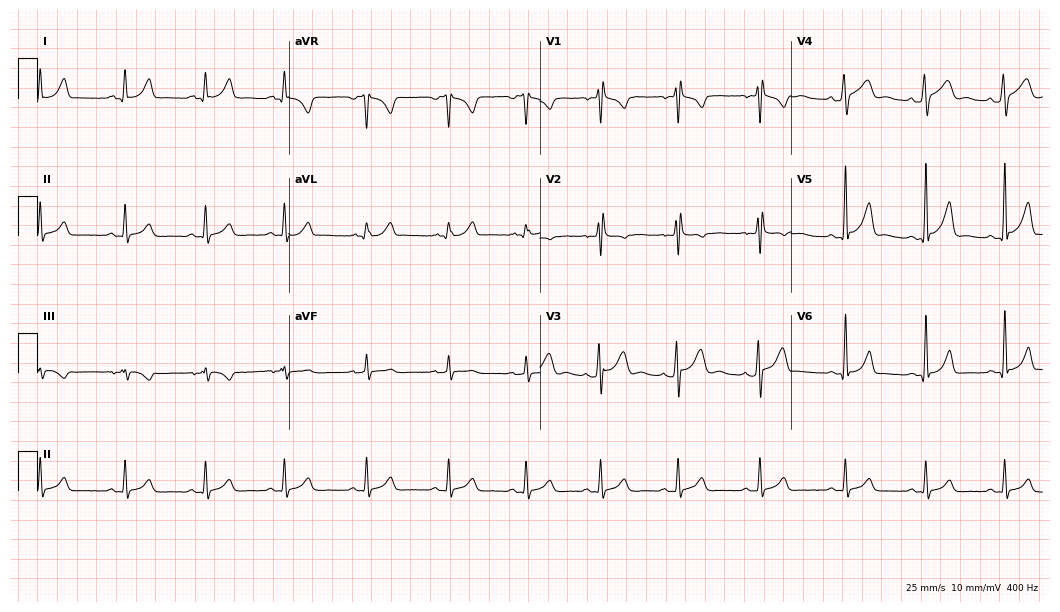
Resting 12-lead electrocardiogram. Patient: a man, 20 years old. None of these six findings is recorded: first-degree AV block, right bundle branch block, left bundle branch block, sinus bradycardia, atrial fibrillation, sinus tachycardia.